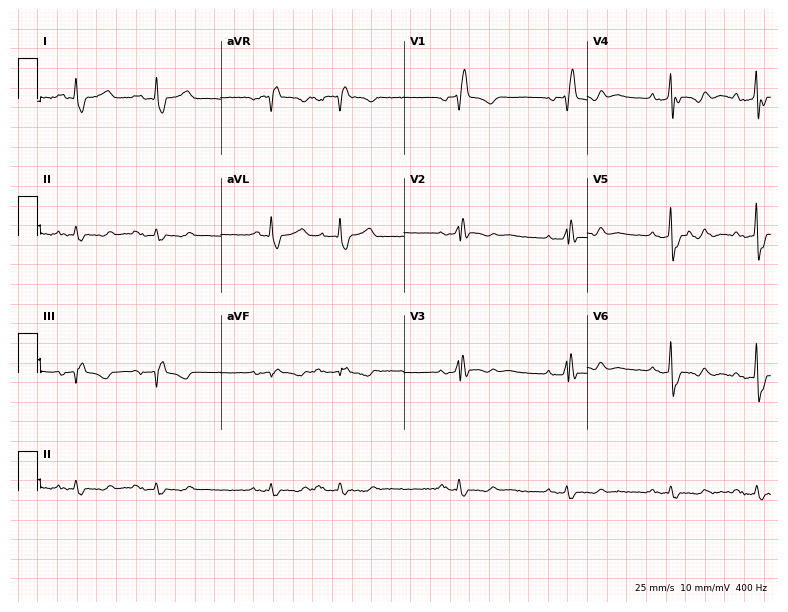
ECG — an 83-year-old male. Findings include right bundle branch block.